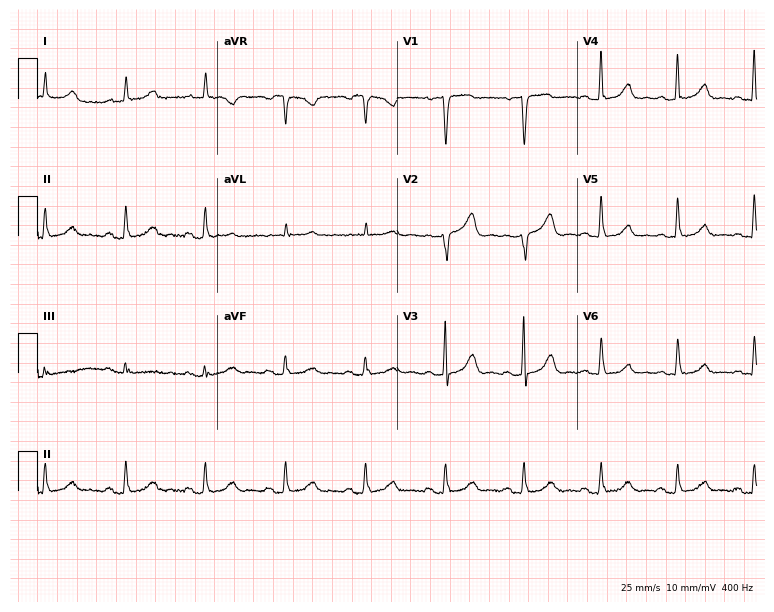
12-lead ECG from a 56-year-old female. Recorded interpretation: within normal limits.